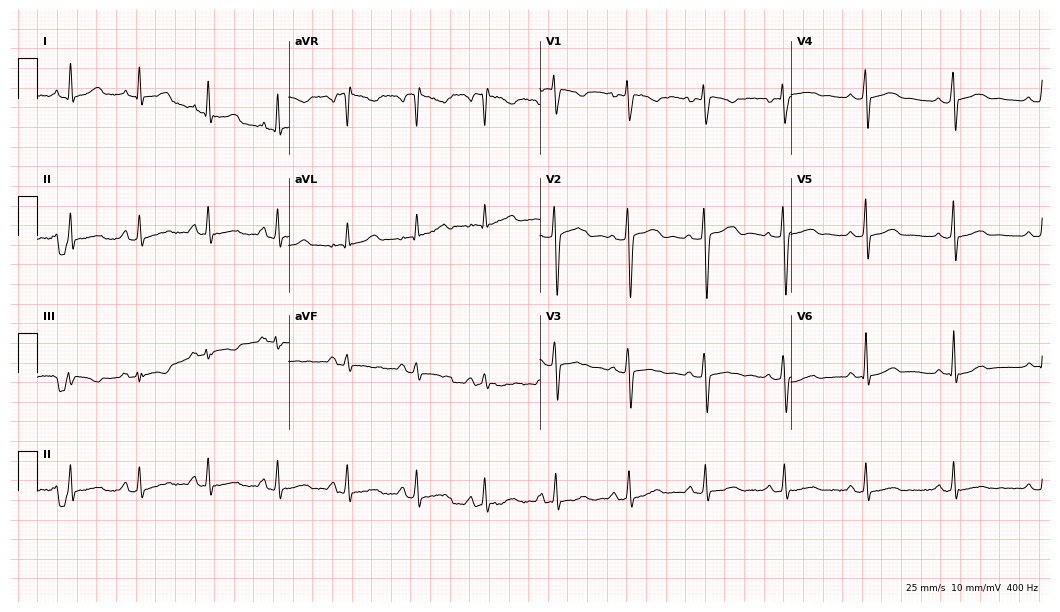
Electrocardiogram (10.2-second recording at 400 Hz), a woman, 35 years old. Overall reading on record: normal ECG.